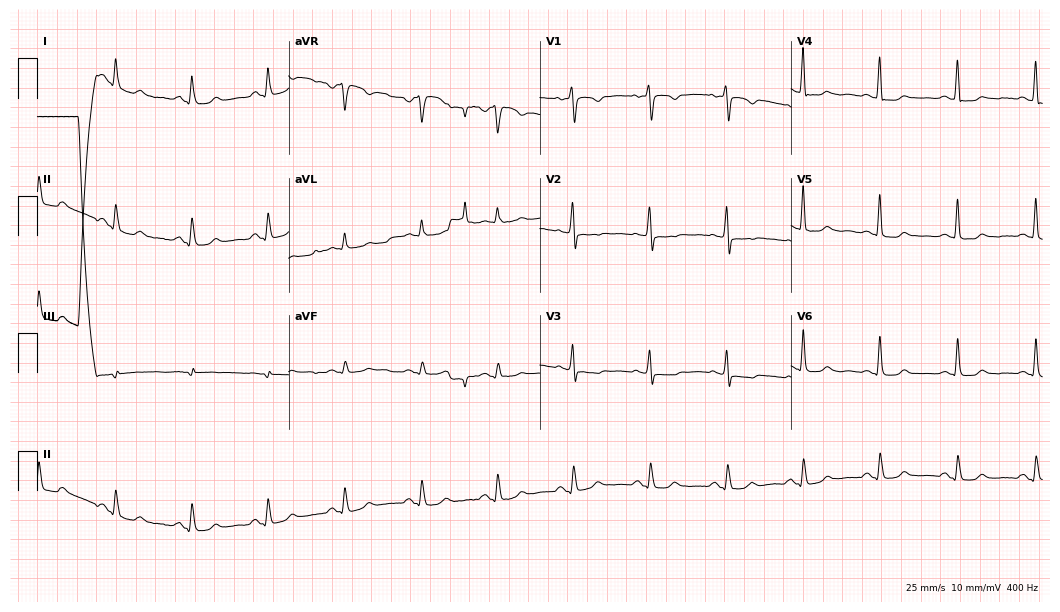
12-lead ECG from a female patient, 61 years old. Screened for six findings — first-degree AV block, right bundle branch block, left bundle branch block, sinus bradycardia, atrial fibrillation, sinus tachycardia — none is recorded.